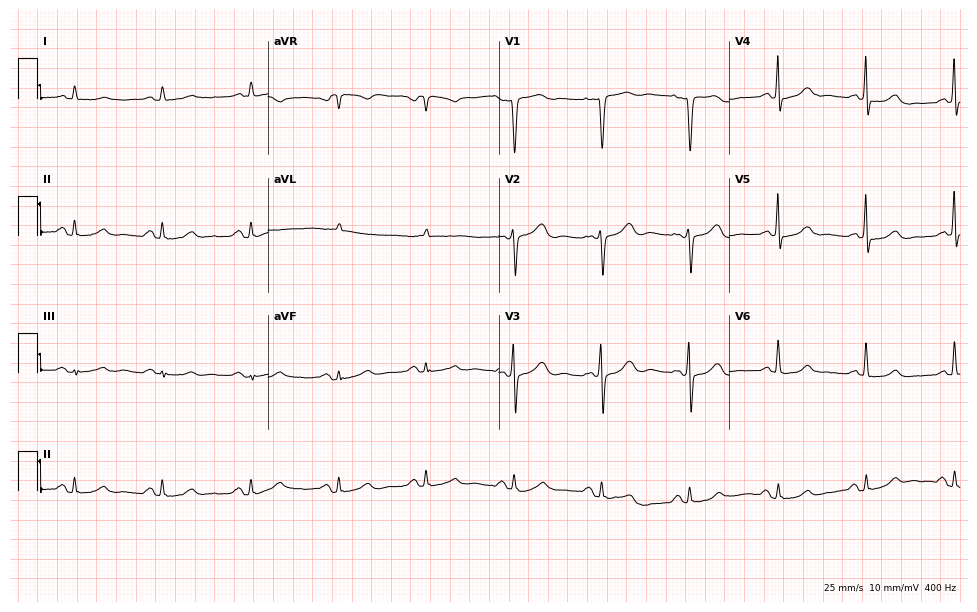
Electrocardiogram, a 61-year-old woman. Of the six screened findings (first-degree AV block, right bundle branch block (RBBB), left bundle branch block (LBBB), sinus bradycardia, atrial fibrillation (AF), sinus tachycardia), none is recorded. Other findings, if any, are not listed.